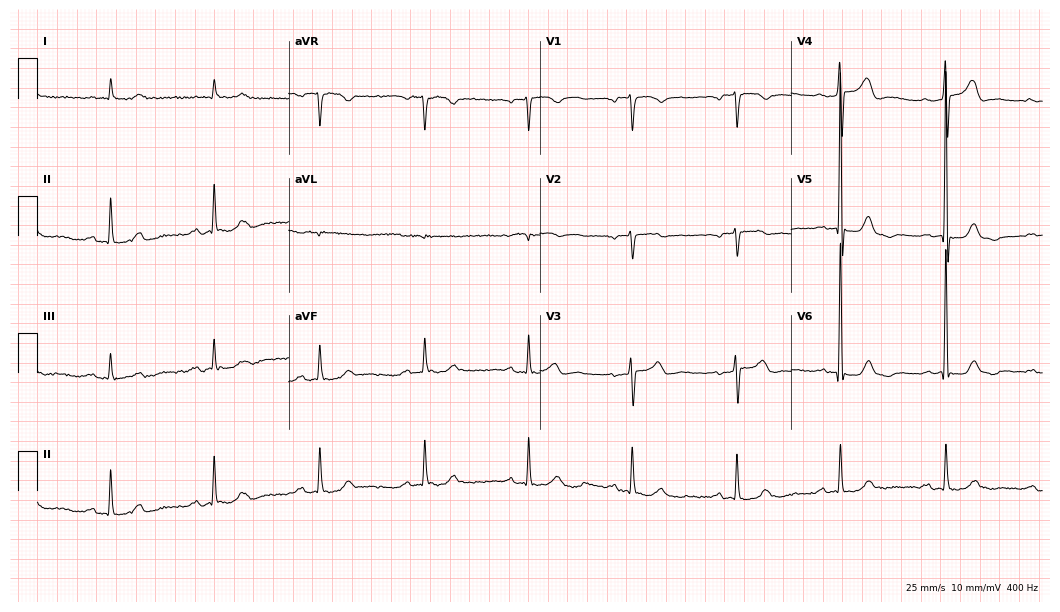
ECG — a male, 82 years old. Screened for six findings — first-degree AV block, right bundle branch block, left bundle branch block, sinus bradycardia, atrial fibrillation, sinus tachycardia — none is recorded. Findings outside these six are not listed.